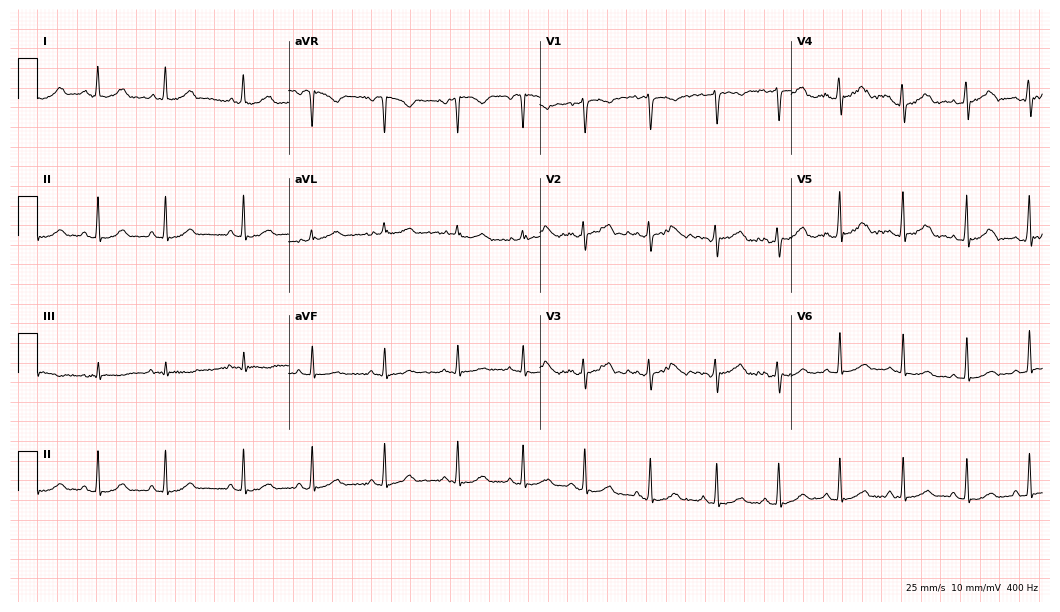
ECG — a female patient, 22 years old. Labelled as a normal ECG.